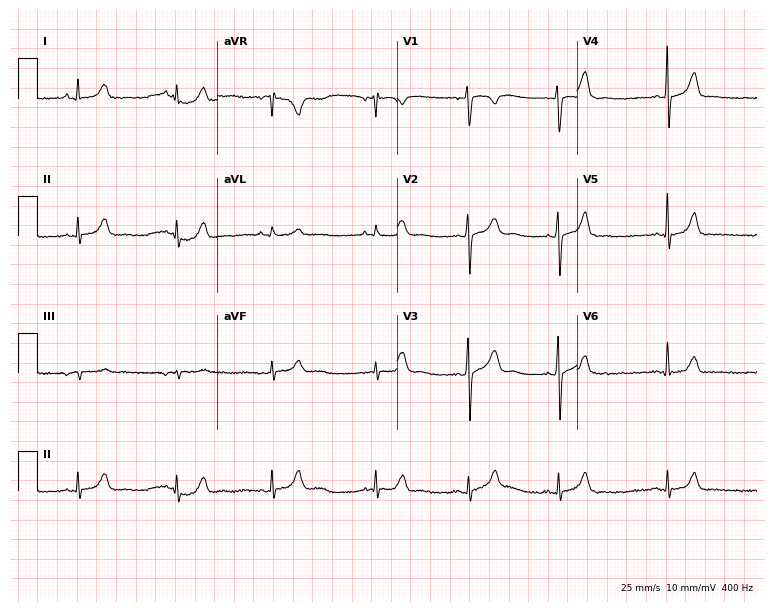
Resting 12-lead electrocardiogram. Patient: a 24-year-old woman. Read as a normal ECG.